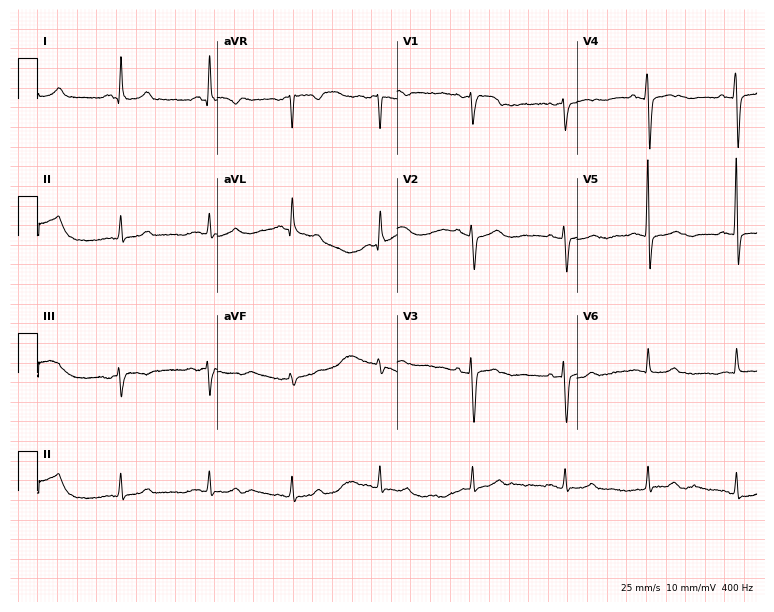
Electrocardiogram (7.3-second recording at 400 Hz), a 50-year-old female. Of the six screened findings (first-degree AV block, right bundle branch block (RBBB), left bundle branch block (LBBB), sinus bradycardia, atrial fibrillation (AF), sinus tachycardia), none is recorded. Other findings, if any, are not listed.